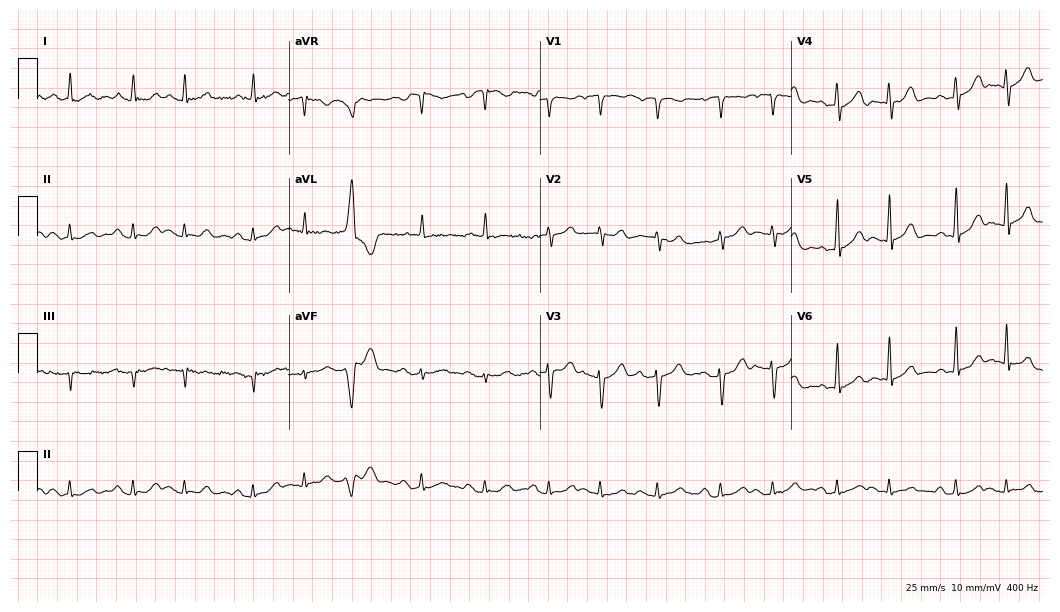
Standard 12-lead ECG recorded from an 82-year-old male (10.2-second recording at 400 Hz). None of these six findings is recorded: first-degree AV block, right bundle branch block, left bundle branch block, sinus bradycardia, atrial fibrillation, sinus tachycardia. Only these six findings were labelled.